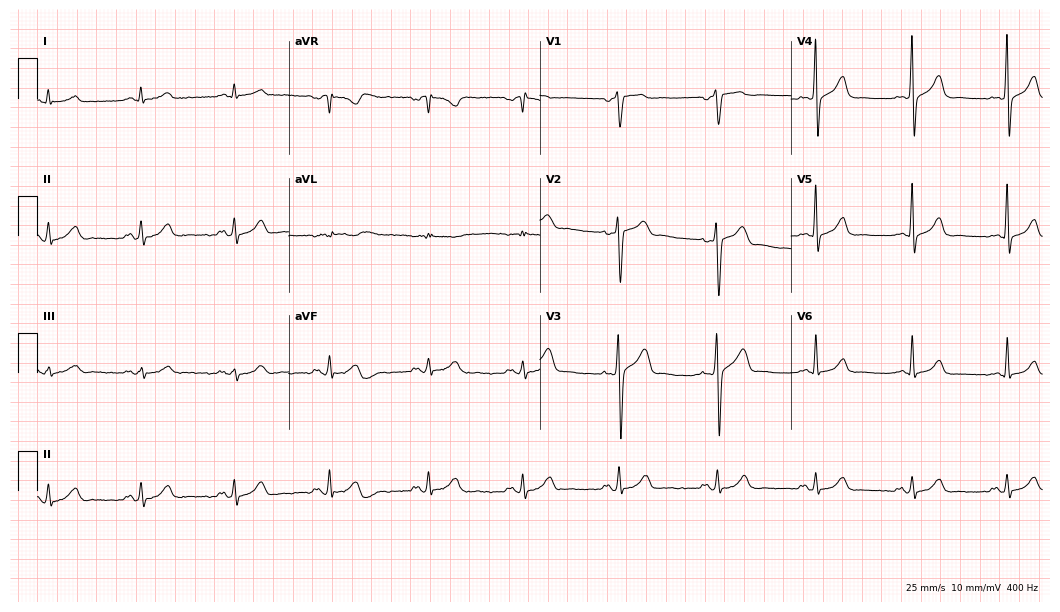
ECG — a 46-year-old male. Screened for six findings — first-degree AV block, right bundle branch block (RBBB), left bundle branch block (LBBB), sinus bradycardia, atrial fibrillation (AF), sinus tachycardia — none is recorded.